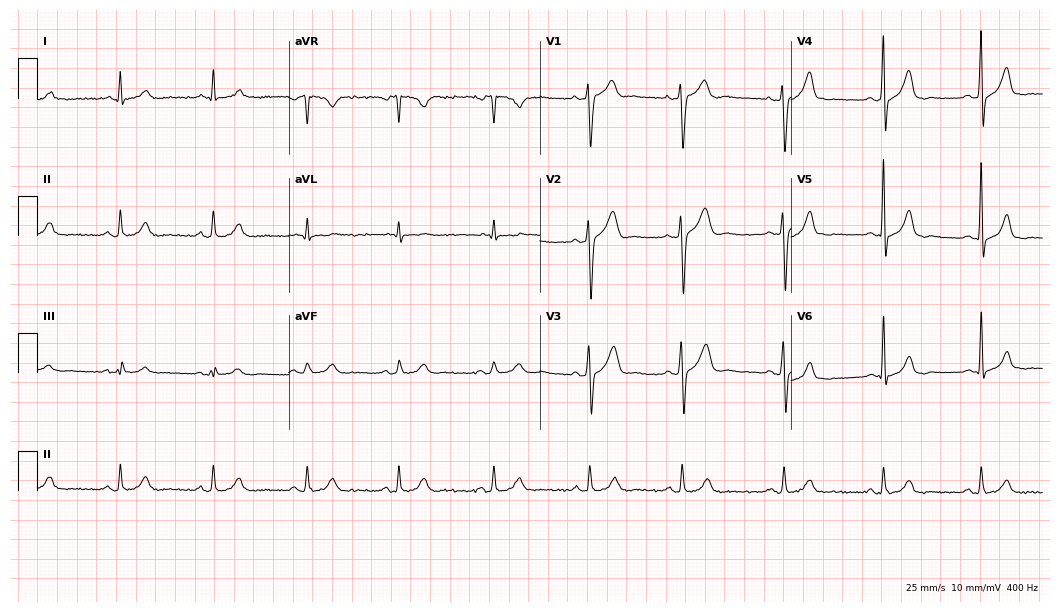
Resting 12-lead electrocardiogram. Patient: a 32-year-old male. Read as a normal ECG.